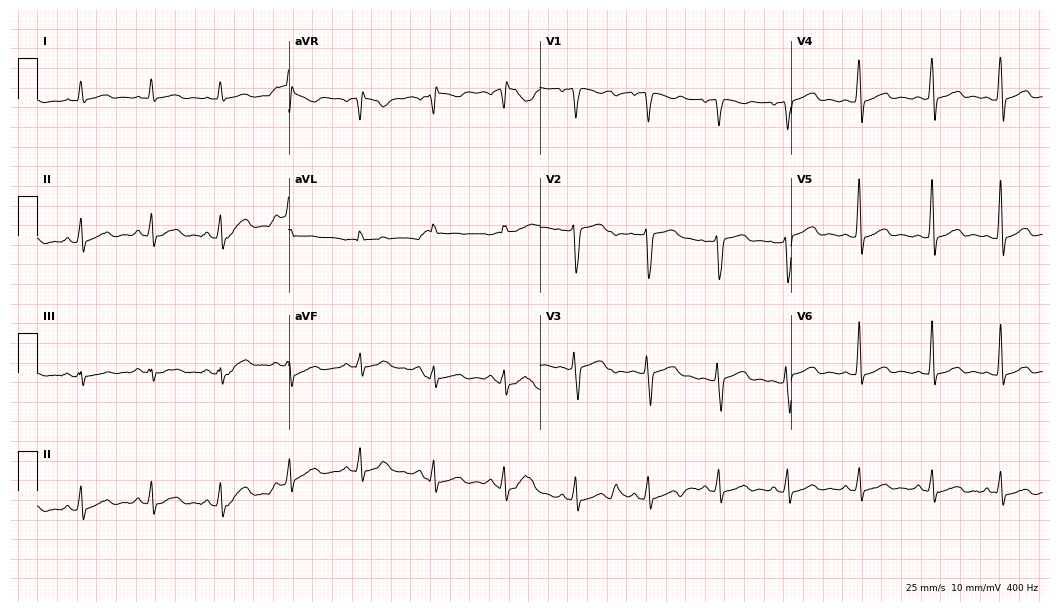
Electrocardiogram (10.2-second recording at 400 Hz), a female patient, 33 years old. Overall reading on record: normal ECG.